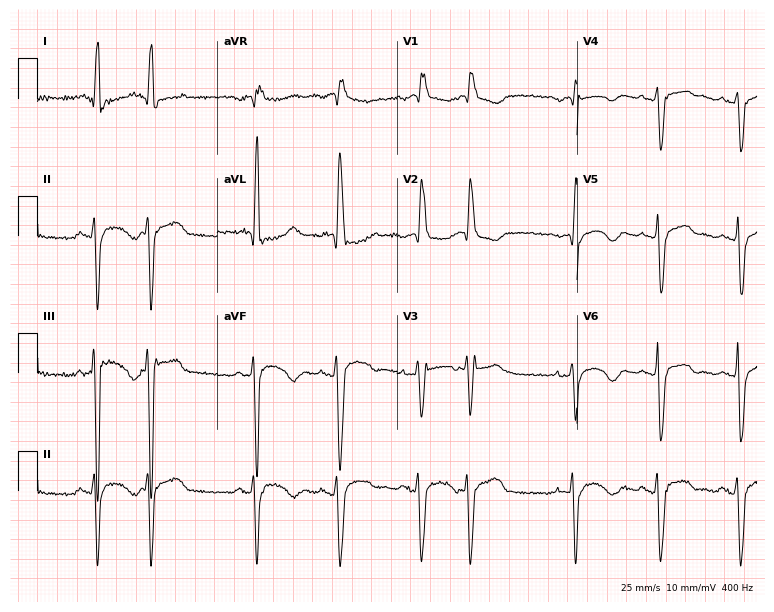
Electrocardiogram (7.3-second recording at 400 Hz), a 78-year-old female patient. Interpretation includes right bundle branch block.